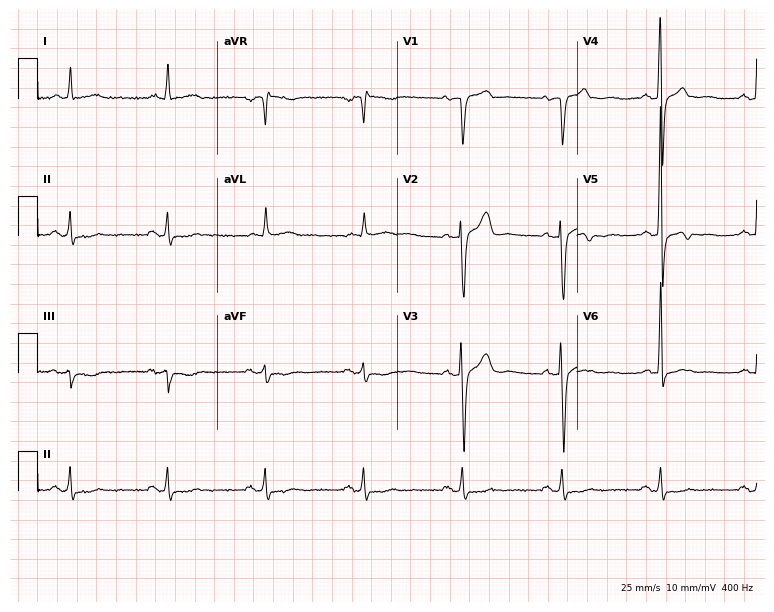
ECG — a 64-year-old male. Screened for six findings — first-degree AV block, right bundle branch block, left bundle branch block, sinus bradycardia, atrial fibrillation, sinus tachycardia — none is recorded. Other findings, if any, are not listed.